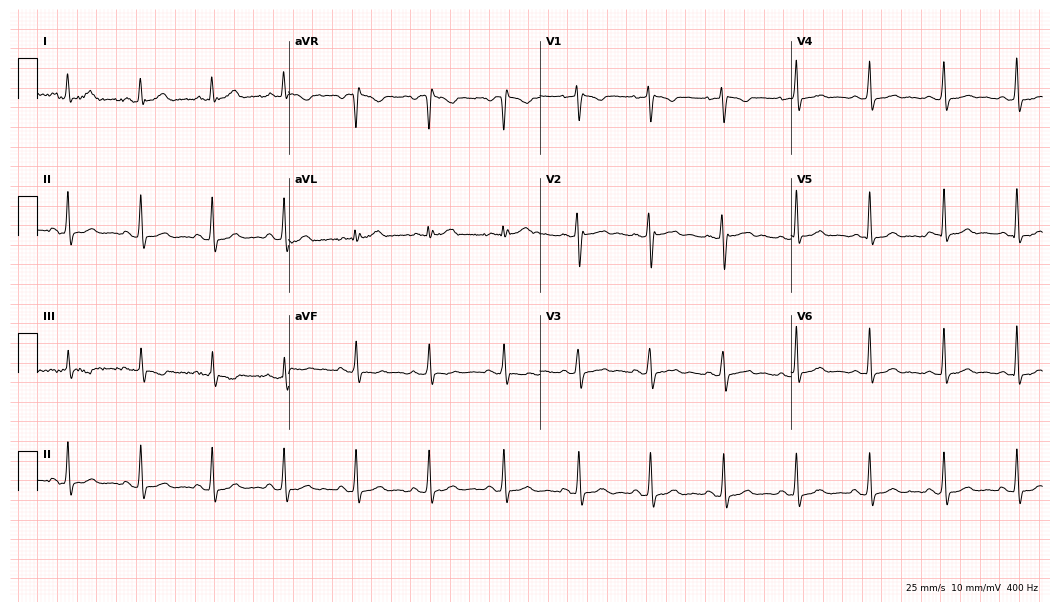
Electrocardiogram, a 28-year-old female. Overall reading on record: normal ECG.